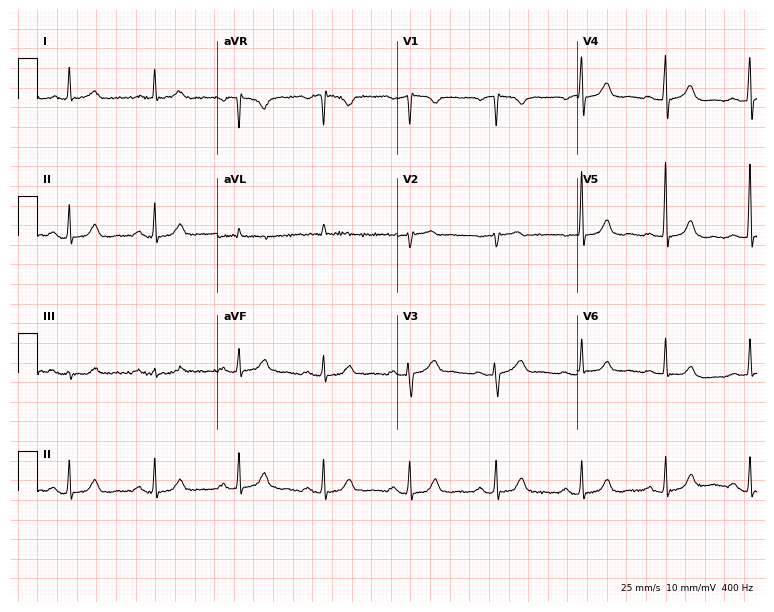
Electrocardiogram (7.3-second recording at 400 Hz), a man, 68 years old. Of the six screened findings (first-degree AV block, right bundle branch block, left bundle branch block, sinus bradycardia, atrial fibrillation, sinus tachycardia), none is recorded.